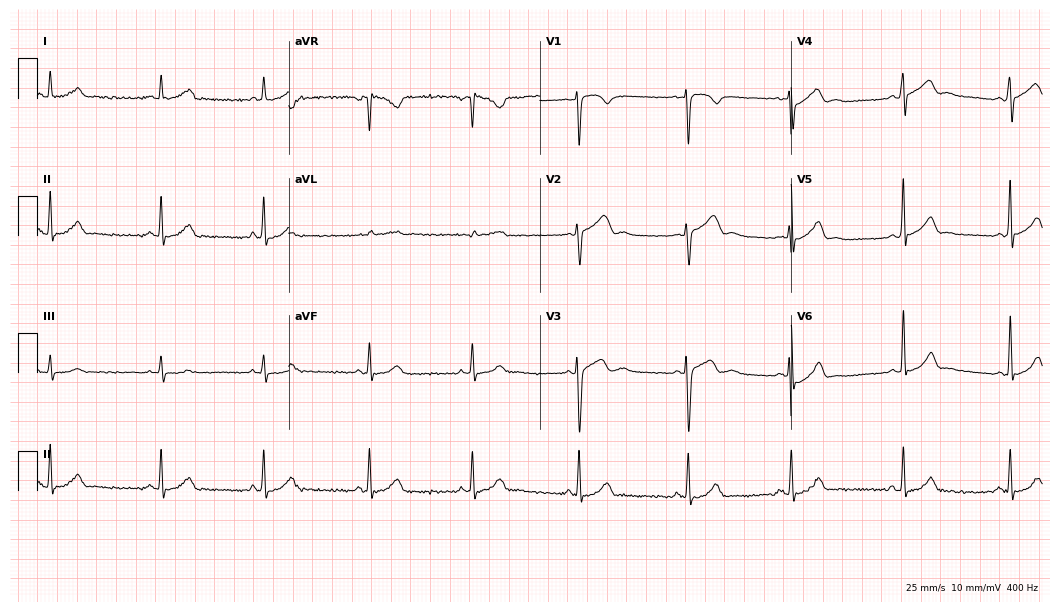
Electrocardiogram, a 32-year-old female patient. Of the six screened findings (first-degree AV block, right bundle branch block, left bundle branch block, sinus bradycardia, atrial fibrillation, sinus tachycardia), none is recorded.